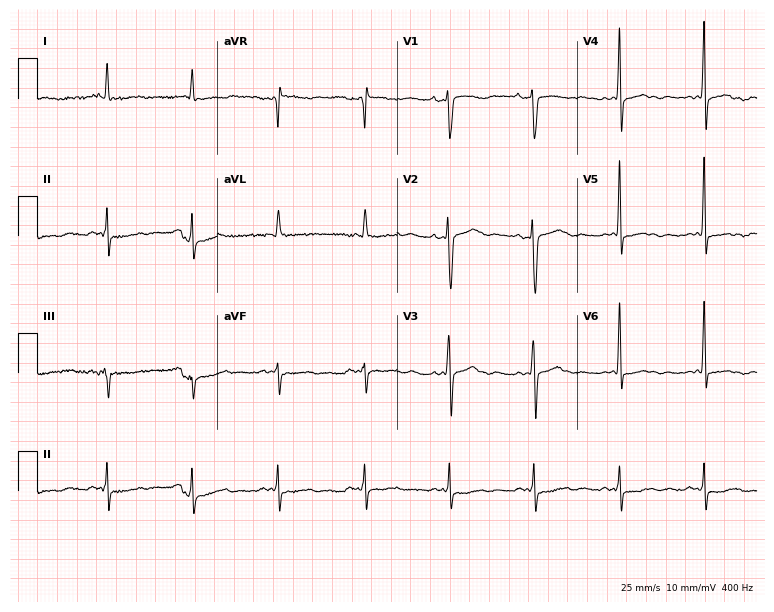
Standard 12-lead ECG recorded from a female patient, 67 years old (7.3-second recording at 400 Hz). None of these six findings is recorded: first-degree AV block, right bundle branch block, left bundle branch block, sinus bradycardia, atrial fibrillation, sinus tachycardia. Other findings, if any, are not listed.